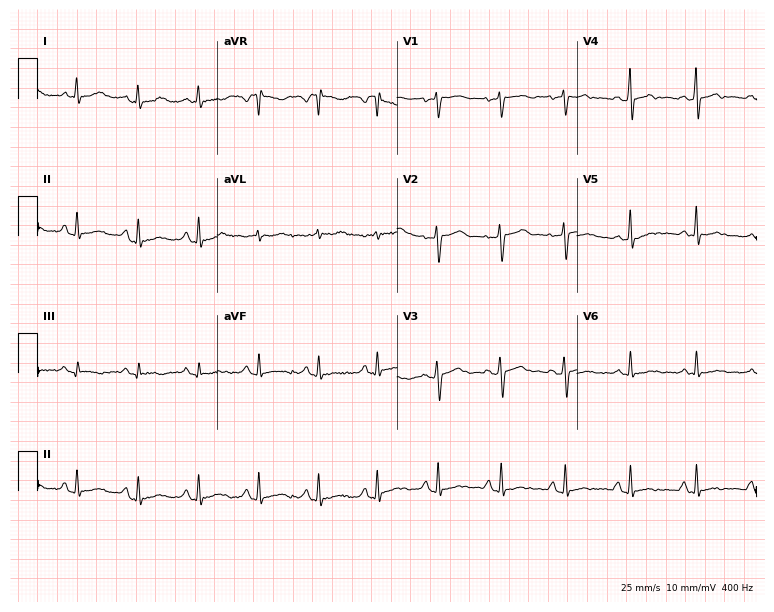
12-lead ECG from a 31-year-old woman. Screened for six findings — first-degree AV block, right bundle branch block, left bundle branch block, sinus bradycardia, atrial fibrillation, sinus tachycardia — none is recorded. Findings outside these six are not listed.